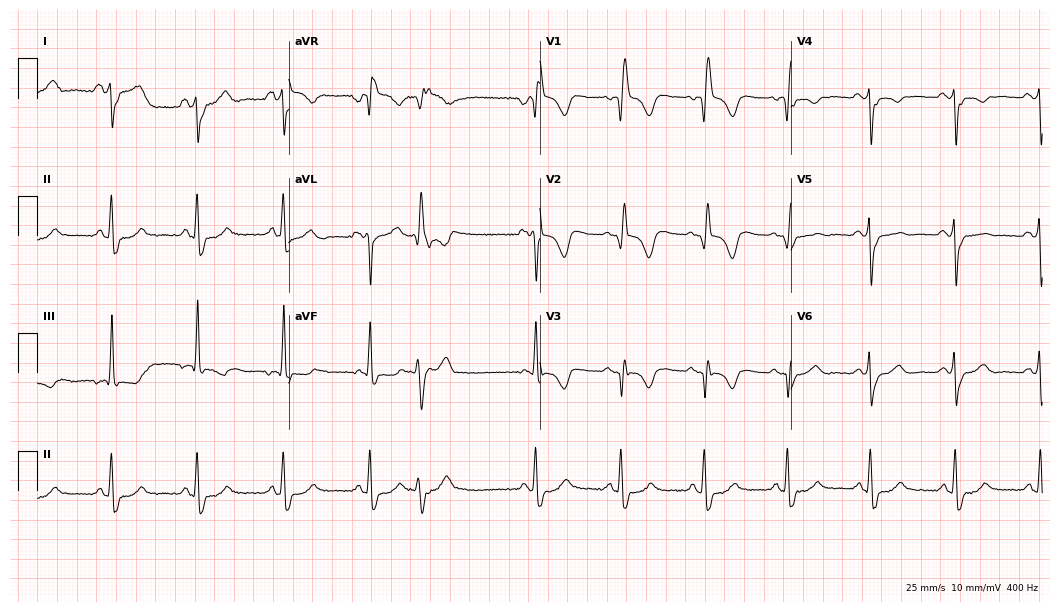
12-lead ECG from a 64-year-old woman. Shows right bundle branch block.